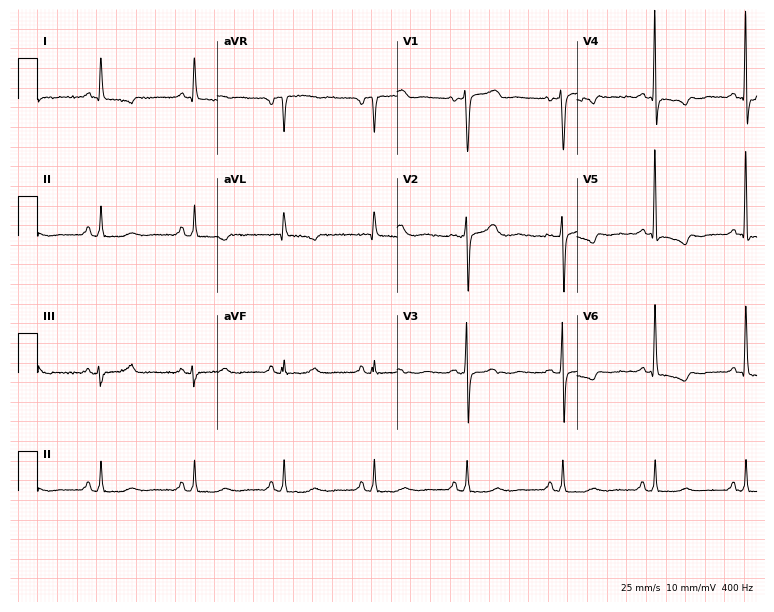
12-lead ECG (7.3-second recording at 400 Hz) from a woman, 68 years old. Screened for six findings — first-degree AV block, right bundle branch block, left bundle branch block, sinus bradycardia, atrial fibrillation, sinus tachycardia — none is recorded.